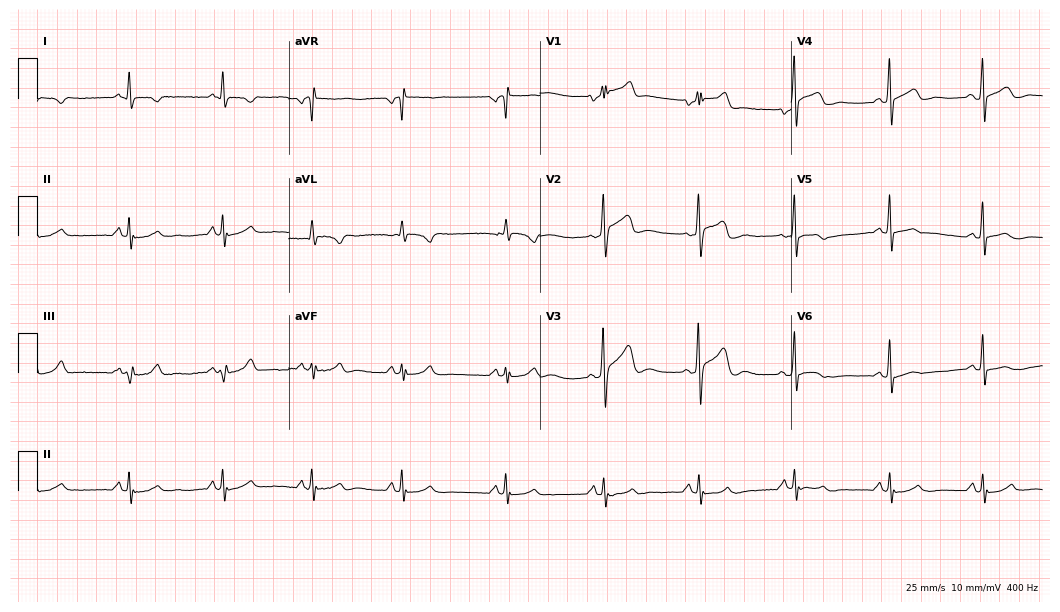
12-lead ECG (10.2-second recording at 400 Hz) from a man, 66 years old. Screened for six findings — first-degree AV block, right bundle branch block, left bundle branch block, sinus bradycardia, atrial fibrillation, sinus tachycardia — none is recorded. Only these six findings were labelled.